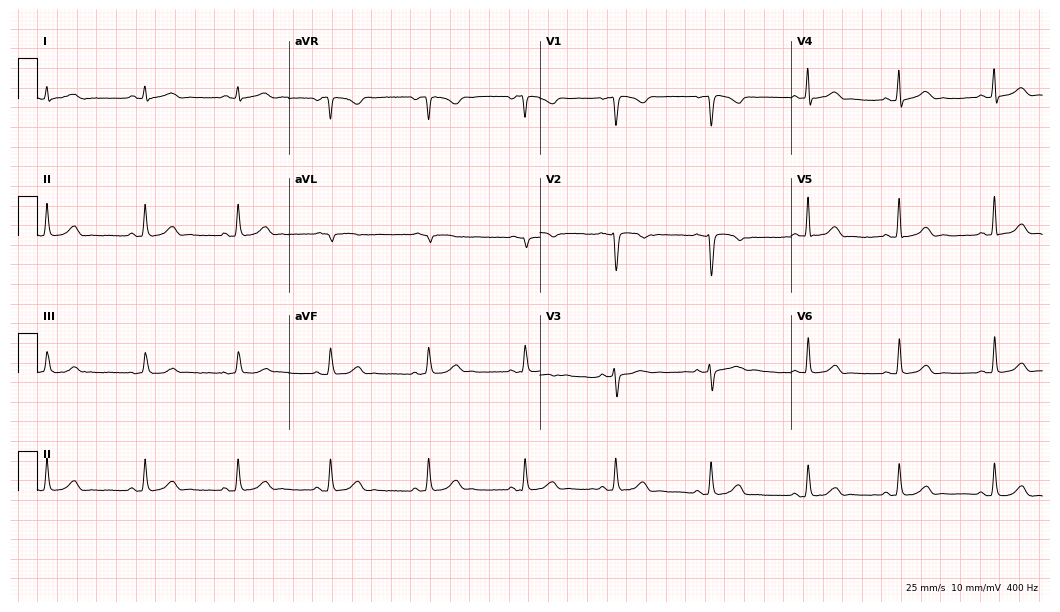
Standard 12-lead ECG recorded from a female, 26 years old (10.2-second recording at 400 Hz). Read as a normal ECG.